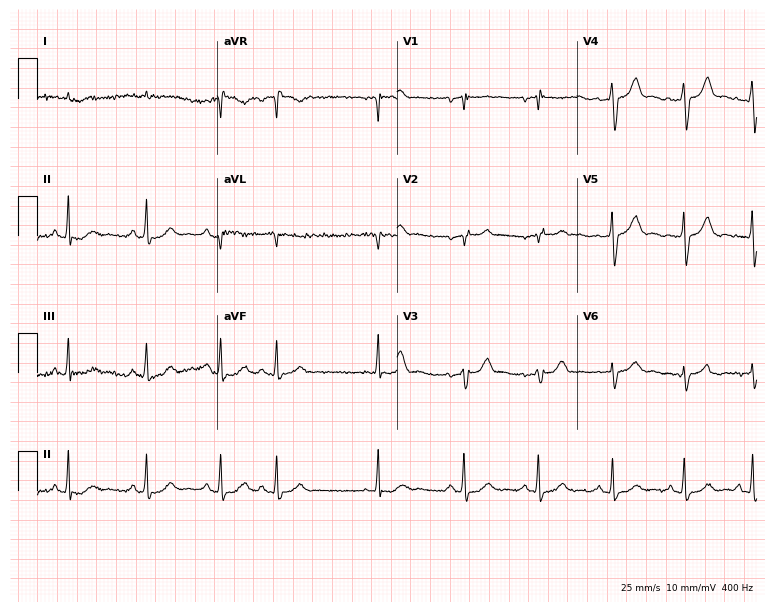
Resting 12-lead electrocardiogram. Patient: a male, 85 years old. None of these six findings is recorded: first-degree AV block, right bundle branch block, left bundle branch block, sinus bradycardia, atrial fibrillation, sinus tachycardia.